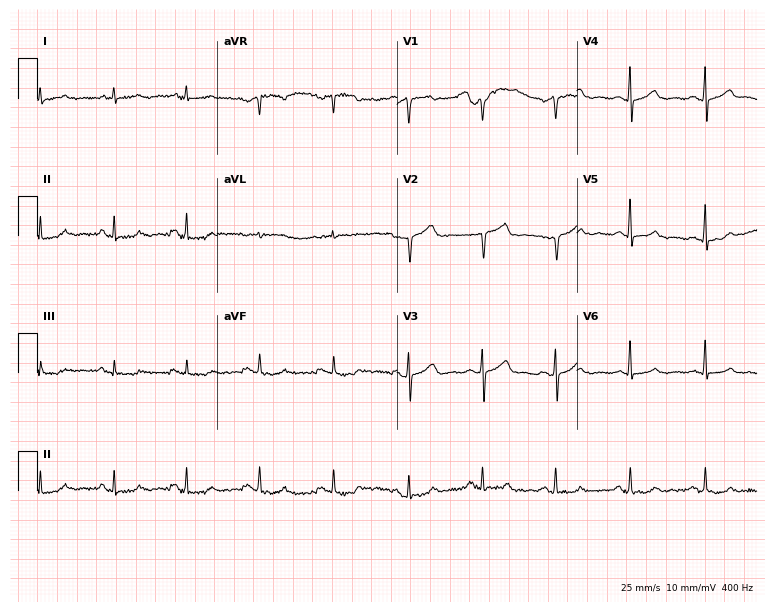
ECG (7.3-second recording at 400 Hz) — a man, 53 years old. Screened for six findings — first-degree AV block, right bundle branch block, left bundle branch block, sinus bradycardia, atrial fibrillation, sinus tachycardia — none is recorded. Only these six findings were labelled.